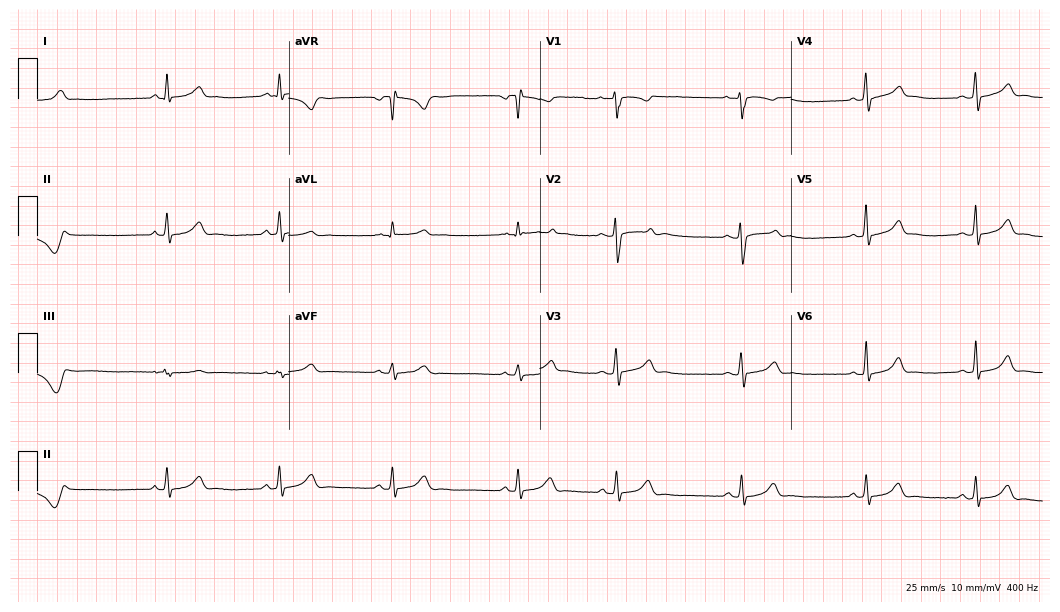
Resting 12-lead electrocardiogram (10.2-second recording at 400 Hz). Patient: a 23-year-old female. None of these six findings is recorded: first-degree AV block, right bundle branch block, left bundle branch block, sinus bradycardia, atrial fibrillation, sinus tachycardia.